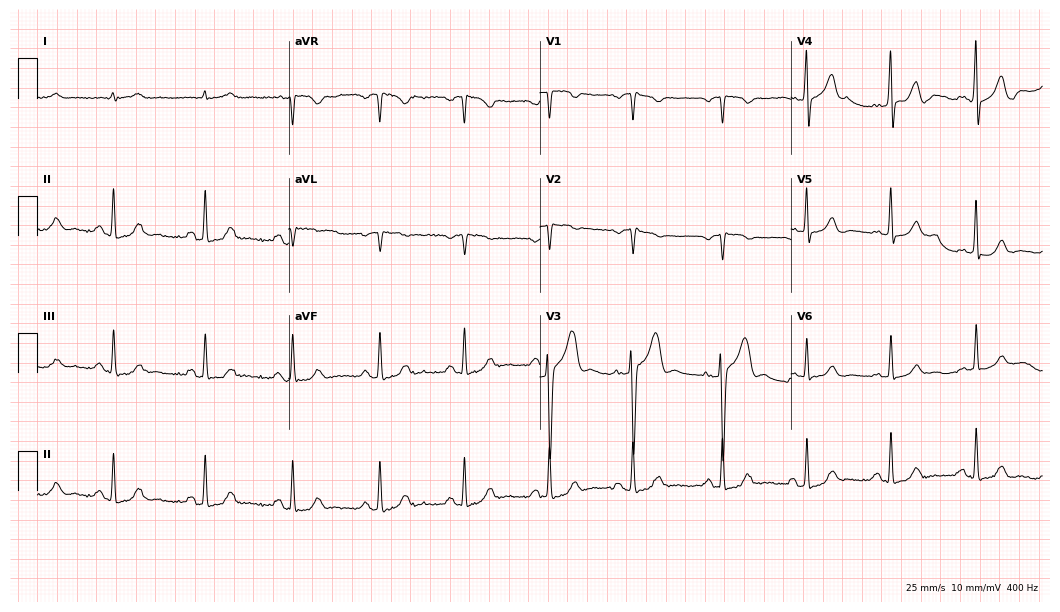
Resting 12-lead electrocardiogram (10.2-second recording at 400 Hz). Patient: a 75-year-old male. Read as a normal ECG.